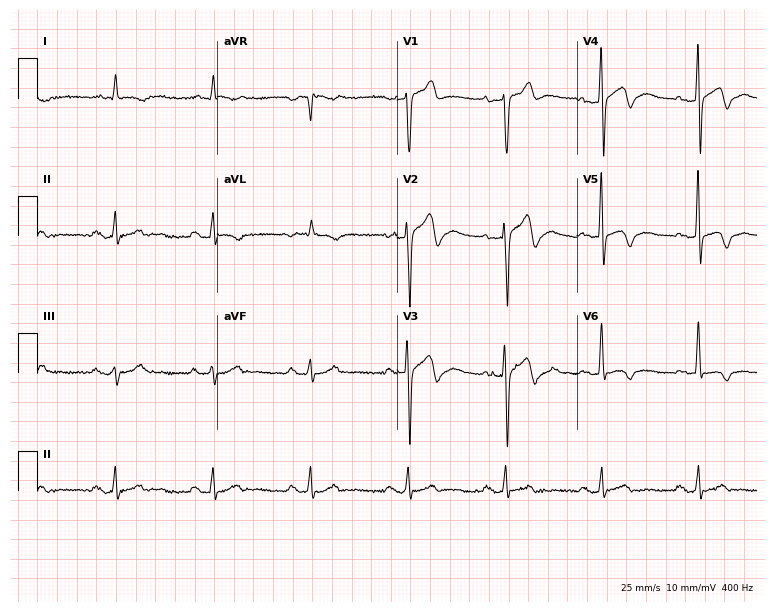
12-lead ECG from a male patient, 70 years old. Screened for six findings — first-degree AV block, right bundle branch block (RBBB), left bundle branch block (LBBB), sinus bradycardia, atrial fibrillation (AF), sinus tachycardia — none is recorded.